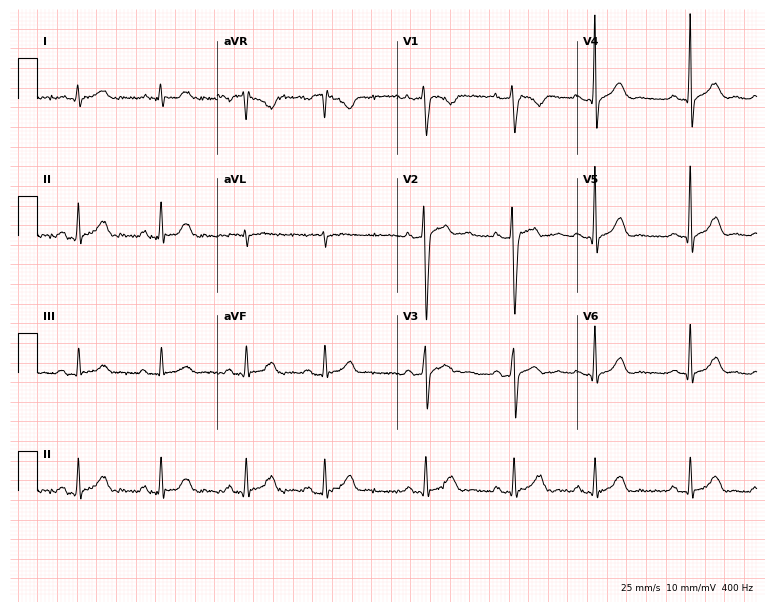
ECG (7.3-second recording at 400 Hz) — a male, 27 years old. Labelled as a normal ECG.